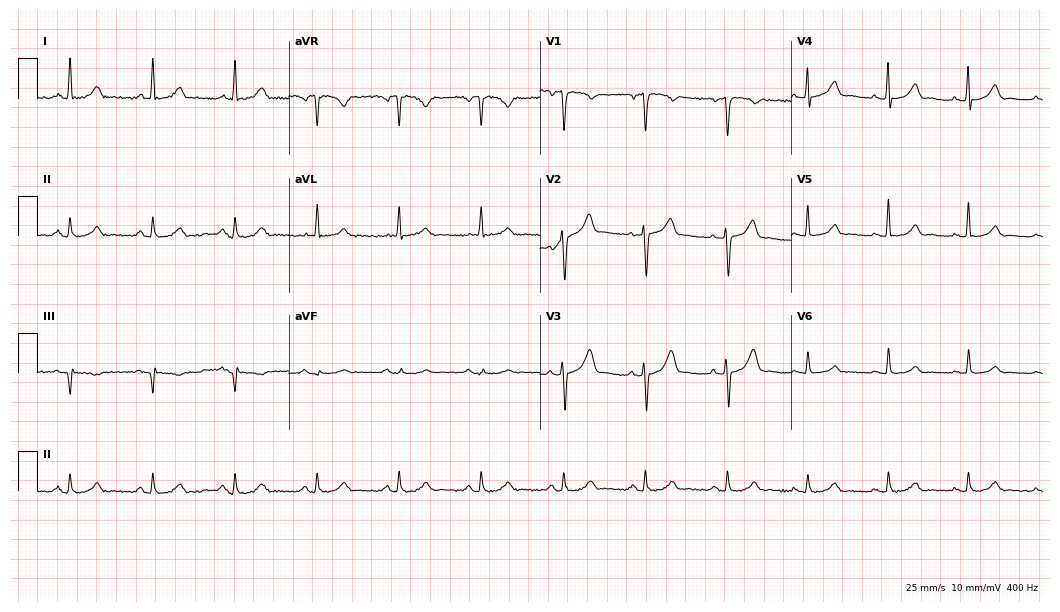
12-lead ECG from a male, 59 years old (10.2-second recording at 400 Hz). Recorded interpretation: within normal limits.